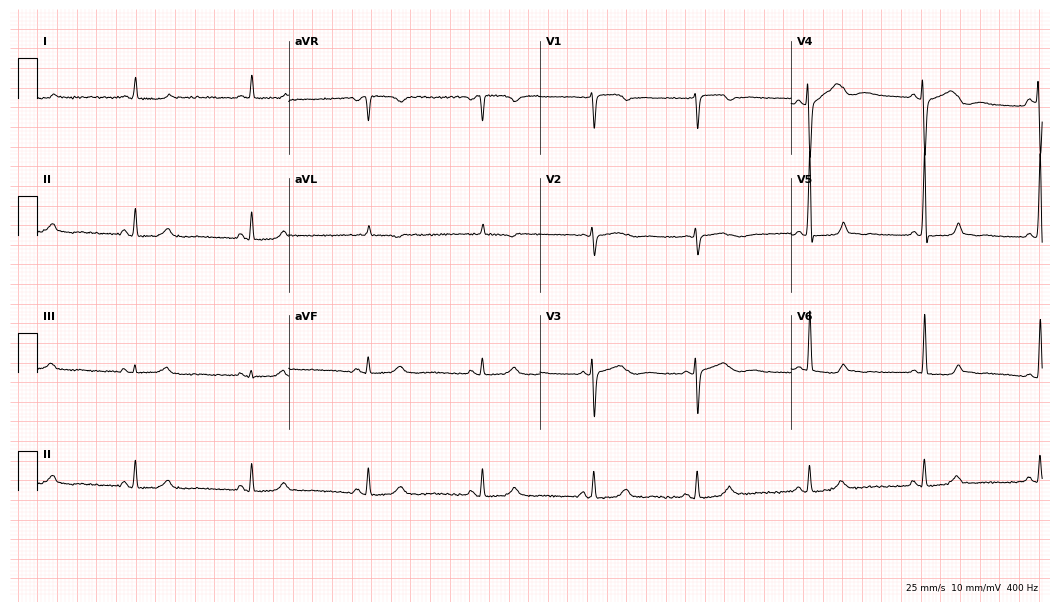
12-lead ECG (10.2-second recording at 400 Hz) from a female, 62 years old. Screened for six findings — first-degree AV block, right bundle branch block, left bundle branch block, sinus bradycardia, atrial fibrillation, sinus tachycardia — none is recorded. Findings outside these six are not listed.